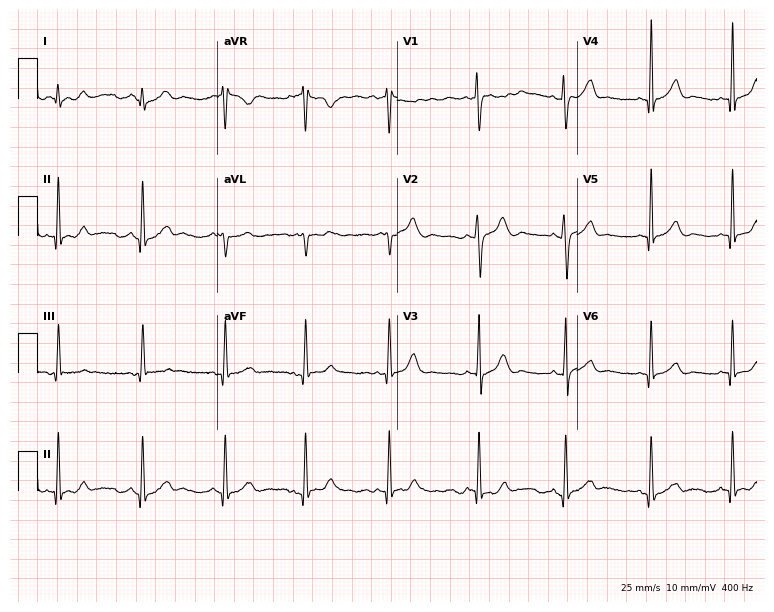
12-lead ECG from a 26-year-old male patient. No first-degree AV block, right bundle branch block, left bundle branch block, sinus bradycardia, atrial fibrillation or sinus tachycardia recorded for this tracing.